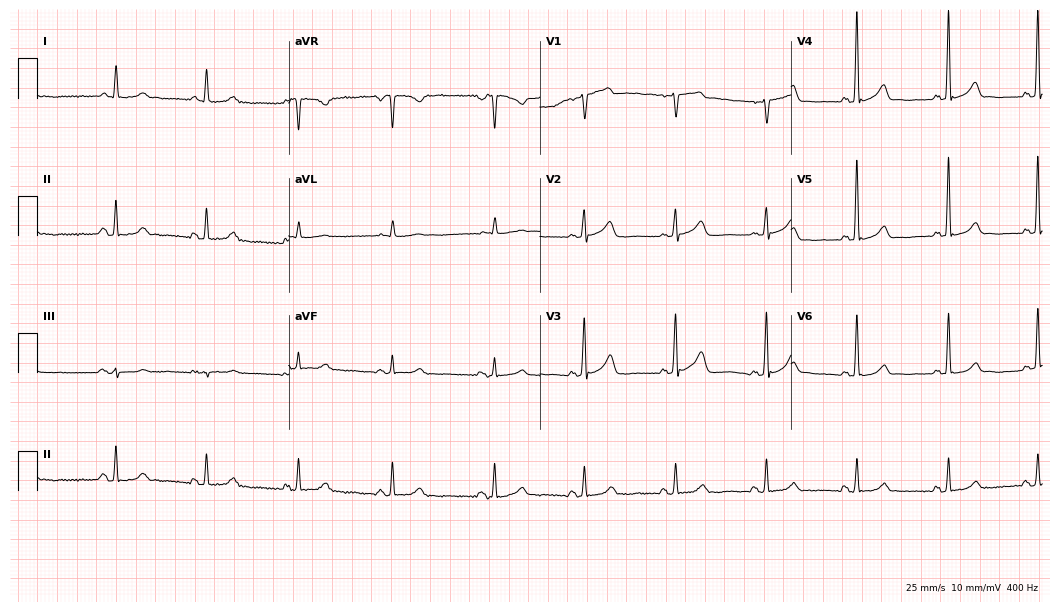
ECG — a woman, 62 years old. Labelled as a normal ECG.